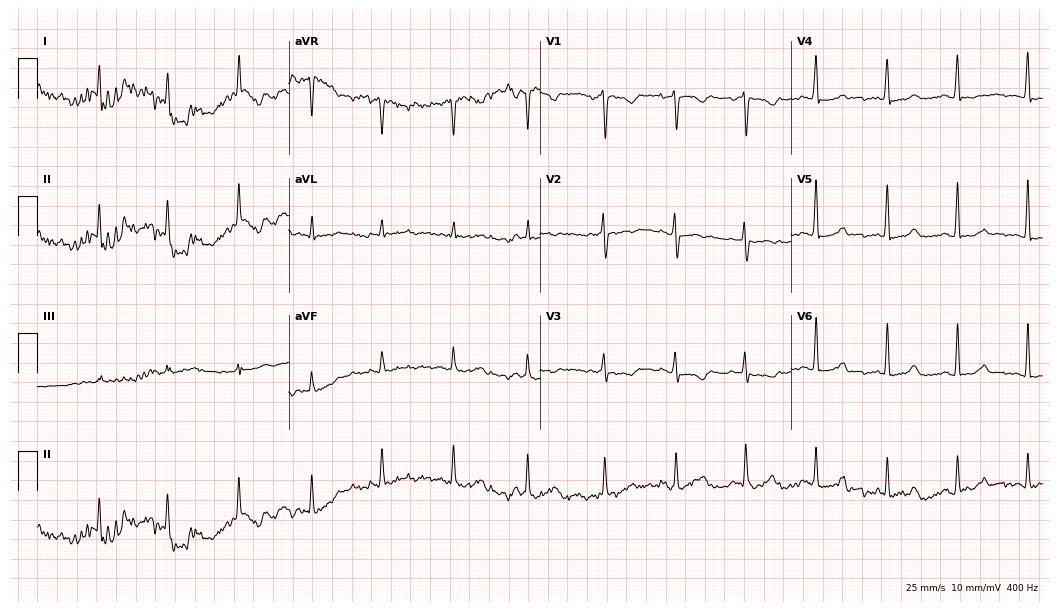
Resting 12-lead electrocardiogram. Patient: a 38-year-old female. Read as a normal ECG.